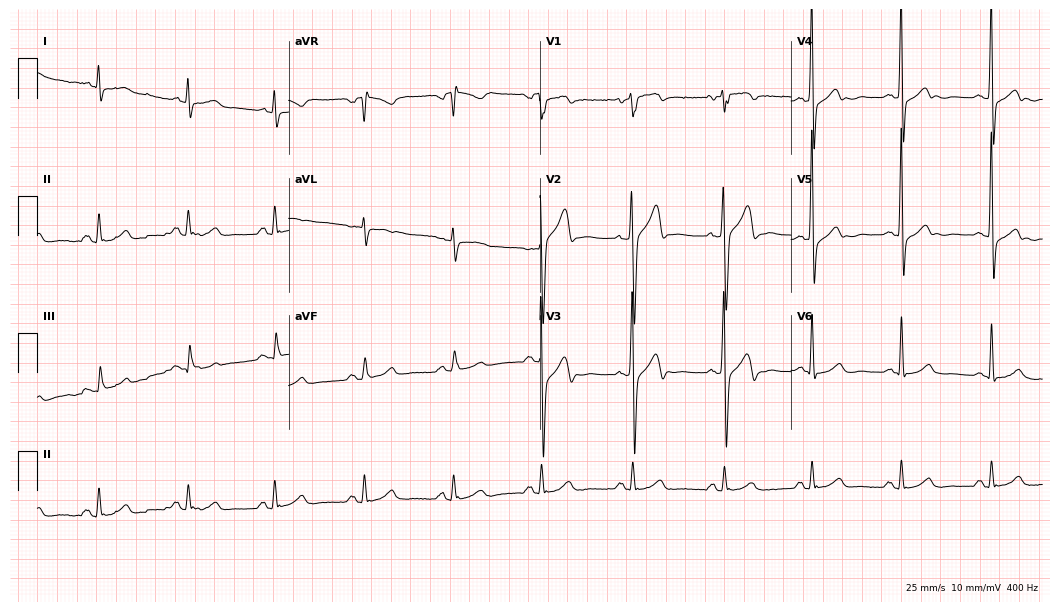
Electrocardiogram, a male, 60 years old. Of the six screened findings (first-degree AV block, right bundle branch block (RBBB), left bundle branch block (LBBB), sinus bradycardia, atrial fibrillation (AF), sinus tachycardia), none is recorded.